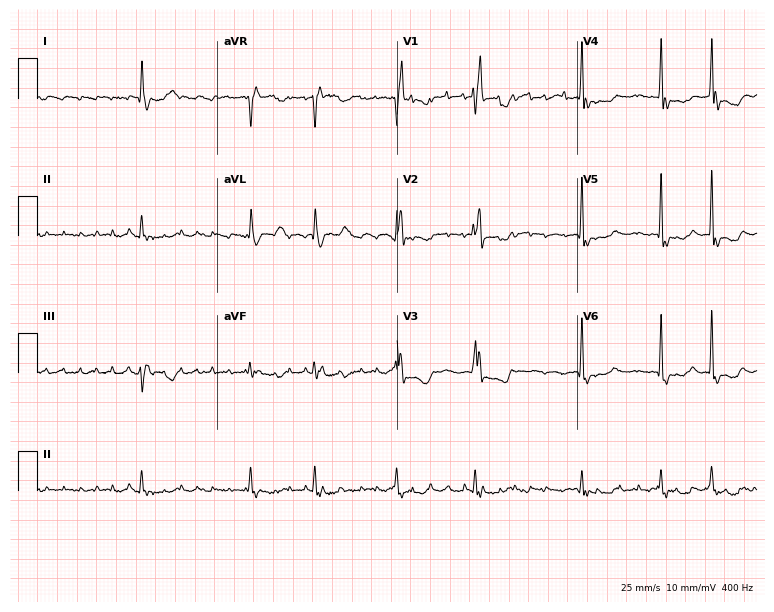
Resting 12-lead electrocardiogram (7.3-second recording at 400 Hz). Patient: a female, 79 years old. None of these six findings is recorded: first-degree AV block, right bundle branch block (RBBB), left bundle branch block (LBBB), sinus bradycardia, atrial fibrillation (AF), sinus tachycardia. Other findings, if any, are not listed.